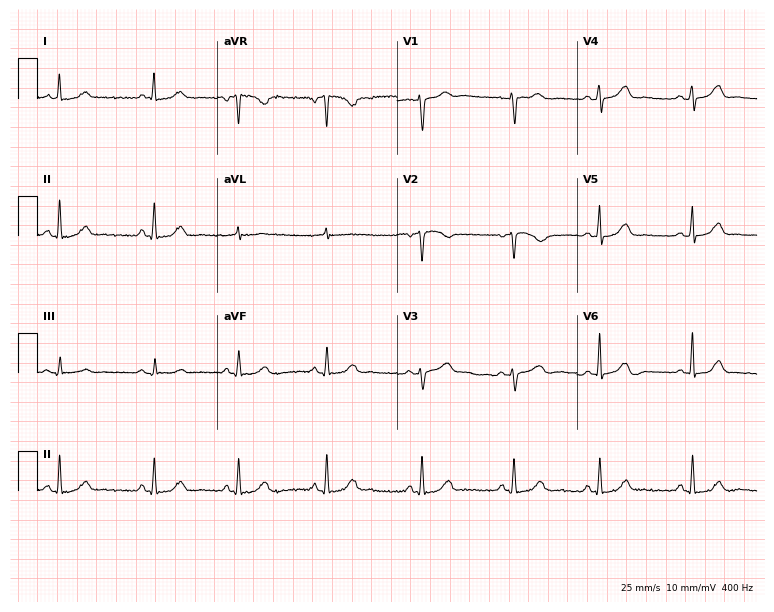
ECG (7.3-second recording at 400 Hz) — a 33-year-old woman. Labelled as a normal ECG.